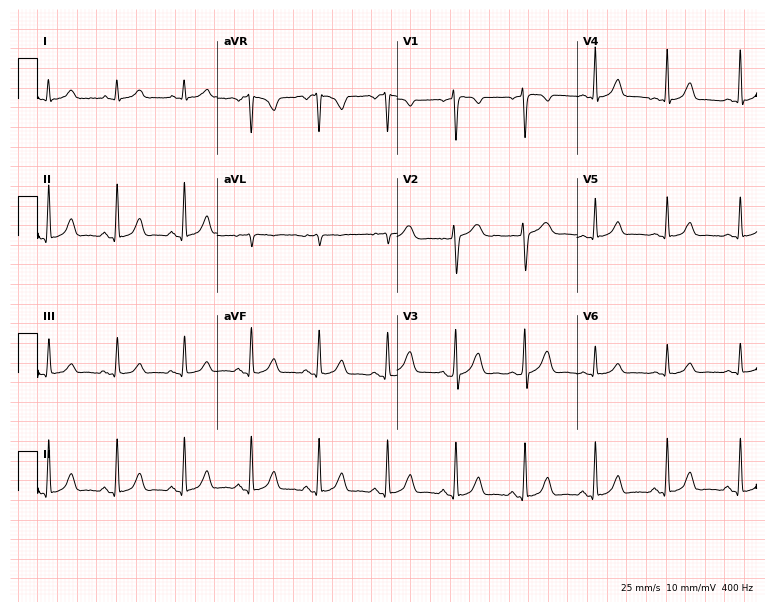
12-lead ECG from a female patient, 36 years old (7.3-second recording at 400 Hz). No first-degree AV block, right bundle branch block (RBBB), left bundle branch block (LBBB), sinus bradycardia, atrial fibrillation (AF) or sinus tachycardia recorded for this tracing.